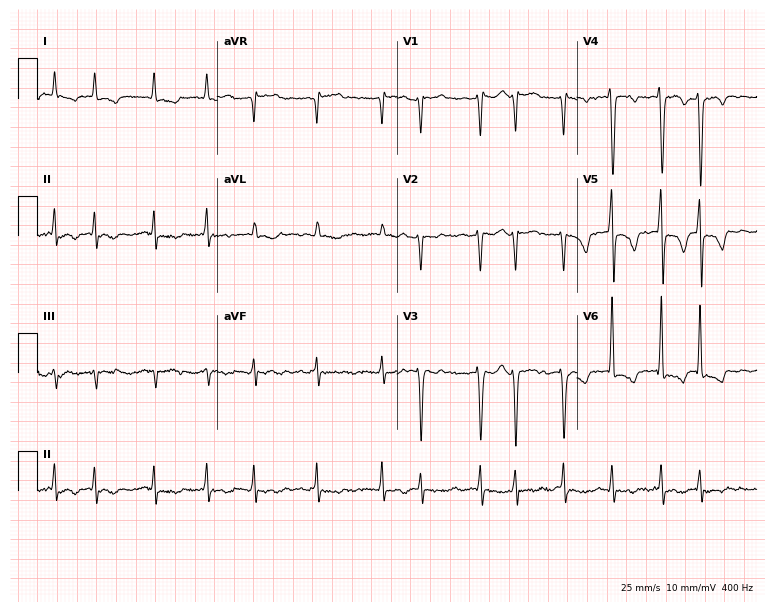
12-lead ECG from a 57-year-old female. No first-degree AV block, right bundle branch block, left bundle branch block, sinus bradycardia, atrial fibrillation or sinus tachycardia recorded for this tracing. Other findings, if any, are not listed.